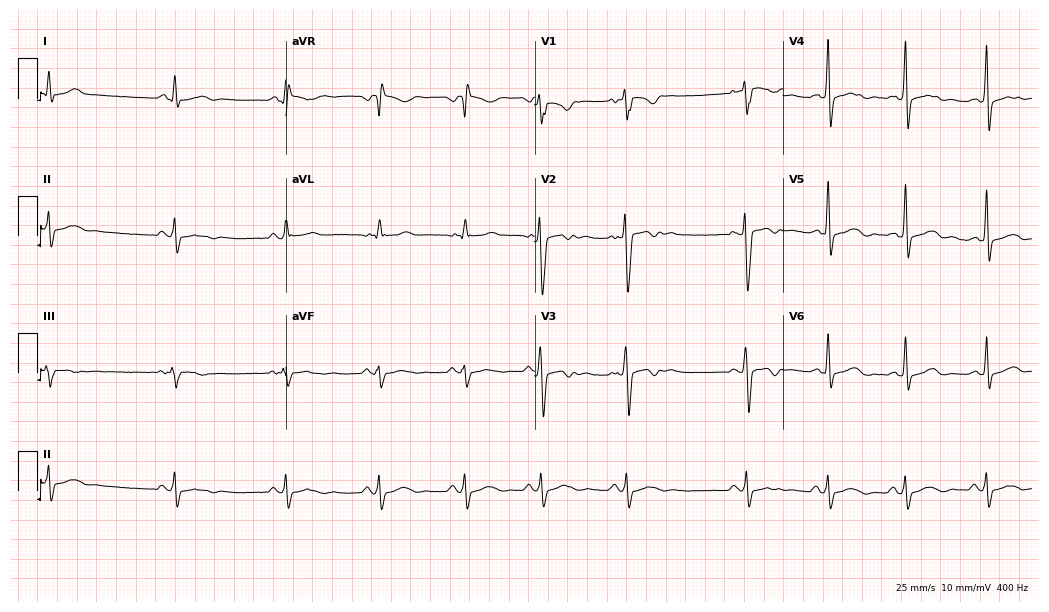
Standard 12-lead ECG recorded from a 28-year-old male. None of these six findings is recorded: first-degree AV block, right bundle branch block, left bundle branch block, sinus bradycardia, atrial fibrillation, sinus tachycardia.